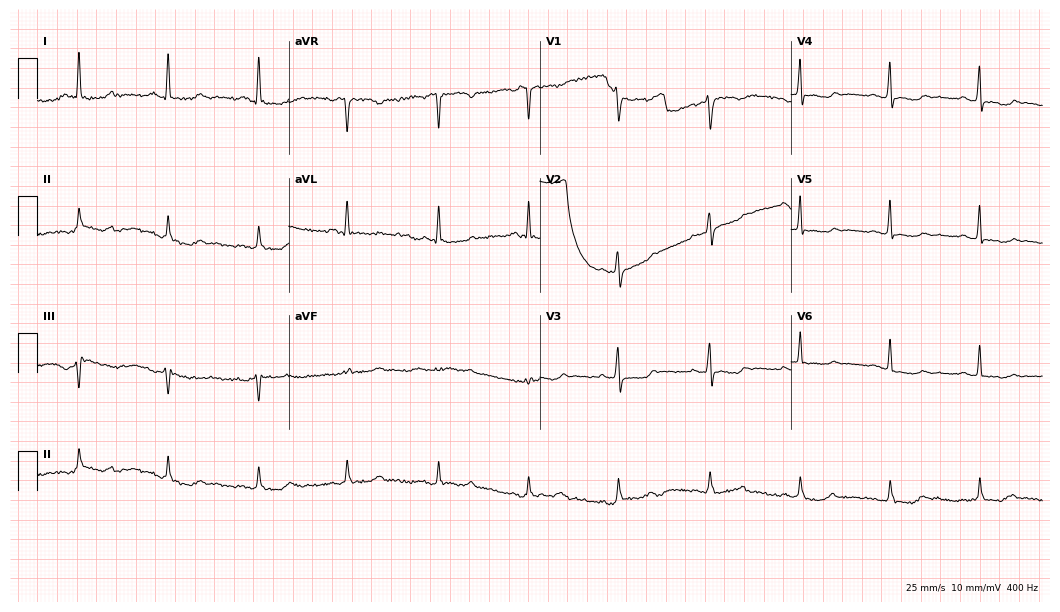
12-lead ECG (10.2-second recording at 400 Hz) from a female patient, 53 years old. Screened for six findings — first-degree AV block, right bundle branch block, left bundle branch block, sinus bradycardia, atrial fibrillation, sinus tachycardia — none is recorded.